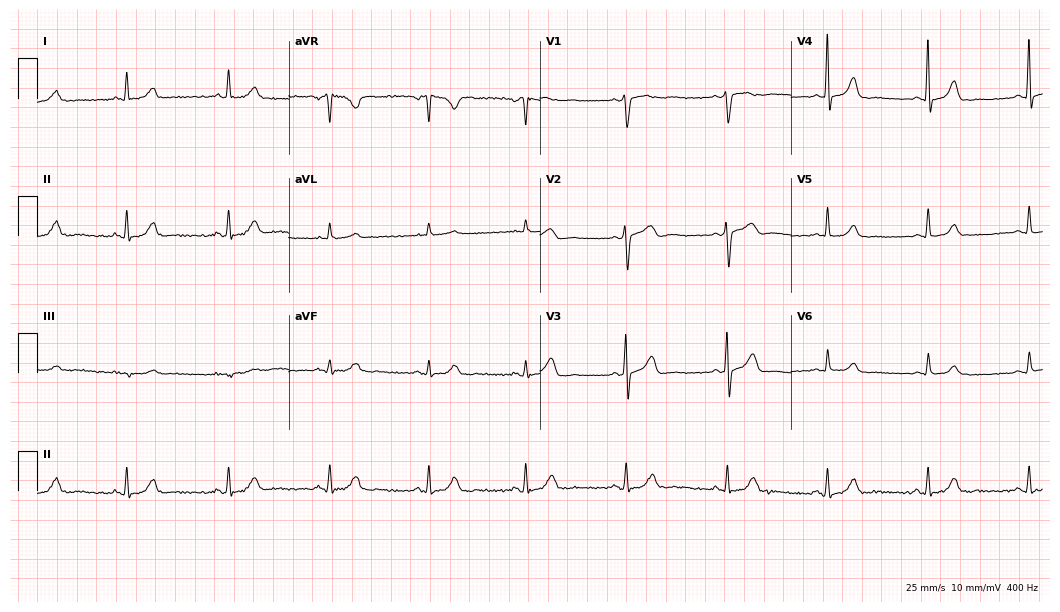
12-lead ECG from a 53-year-old woman. Labelled as a normal ECG.